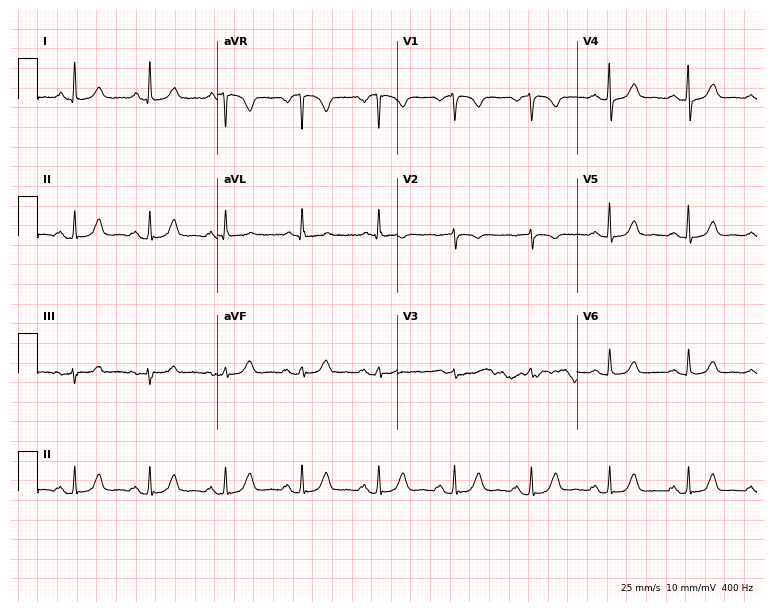
Standard 12-lead ECG recorded from a woman, 66 years old. Read as a normal ECG.